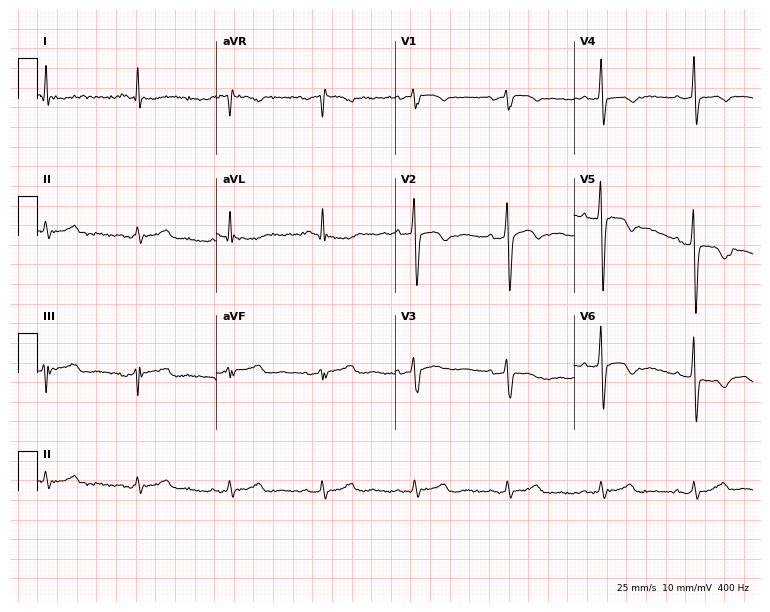
ECG — a 72-year-old male. Screened for six findings — first-degree AV block, right bundle branch block, left bundle branch block, sinus bradycardia, atrial fibrillation, sinus tachycardia — none is recorded. Other findings, if any, are not listed.